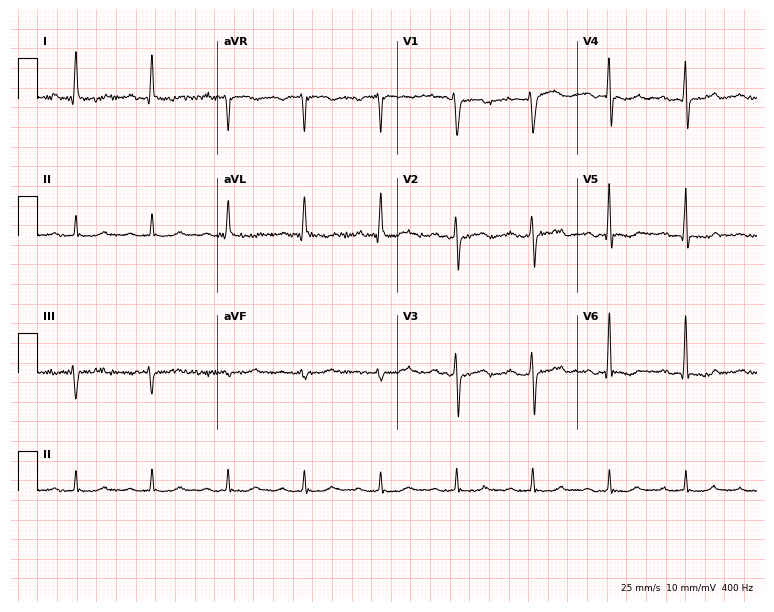
ECG — a man, 71 years old. Findings include first-degree AV block.